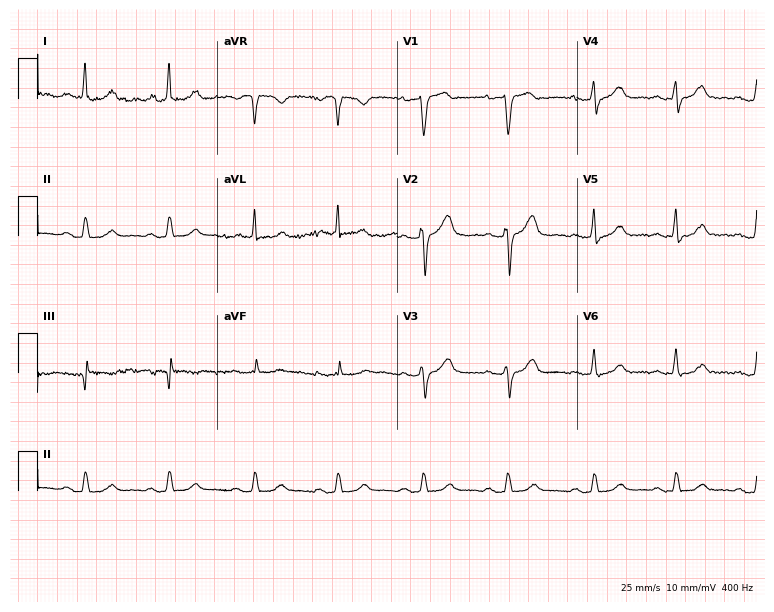
12-lead ECG from an 80-year-old female. Screened for six findings — first-degree AV block, right bundle branch block, left bundle branch block, sinus bradycardia, atrial fibrillation, sinus tachycardia — none is recorded.